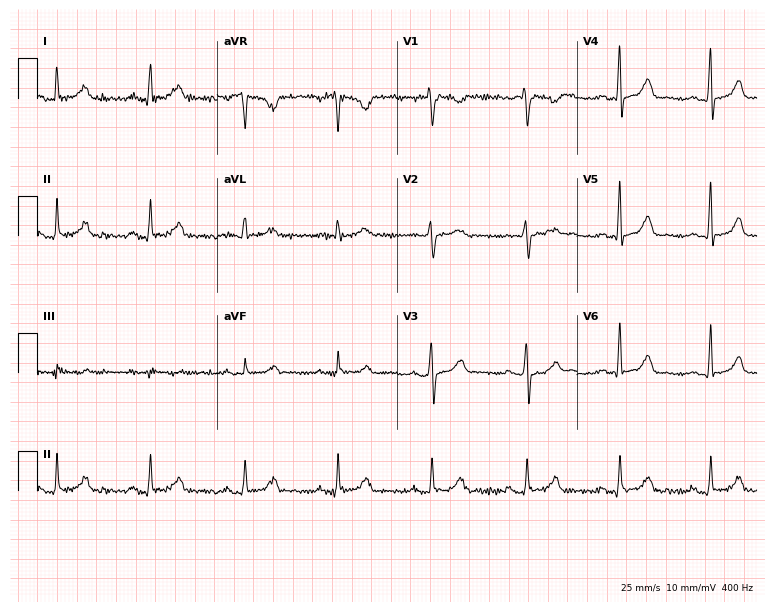
Standard 12-lead ECG recorded from a 51-year-old female patient (7.3-second recording at 400 Hz). Read as a normal ECG.